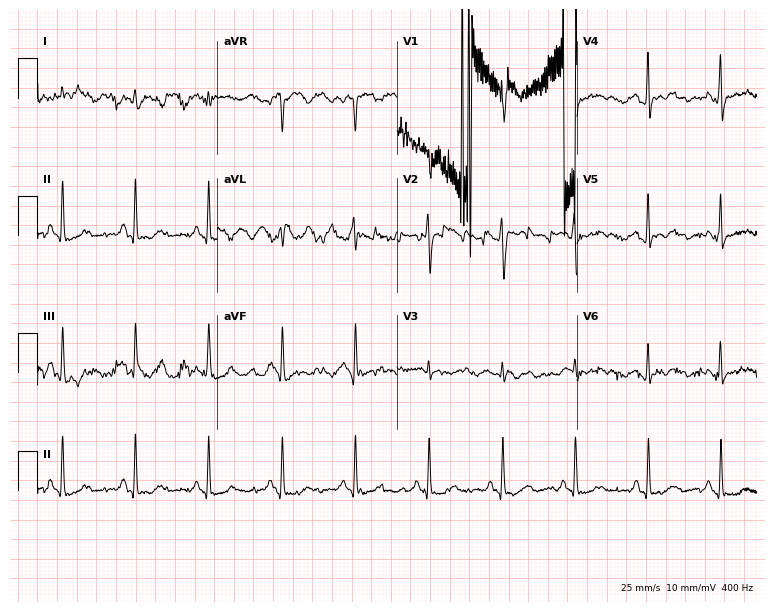
12-lead ECG from a woman, 67 years old. No first-degree AV block, right bundle branch block (RBBB), left bundle branch block (LBBB), sinus bradycardia, atrial fibrillation (AF) or sinus tachycardia recorded for this tracing.